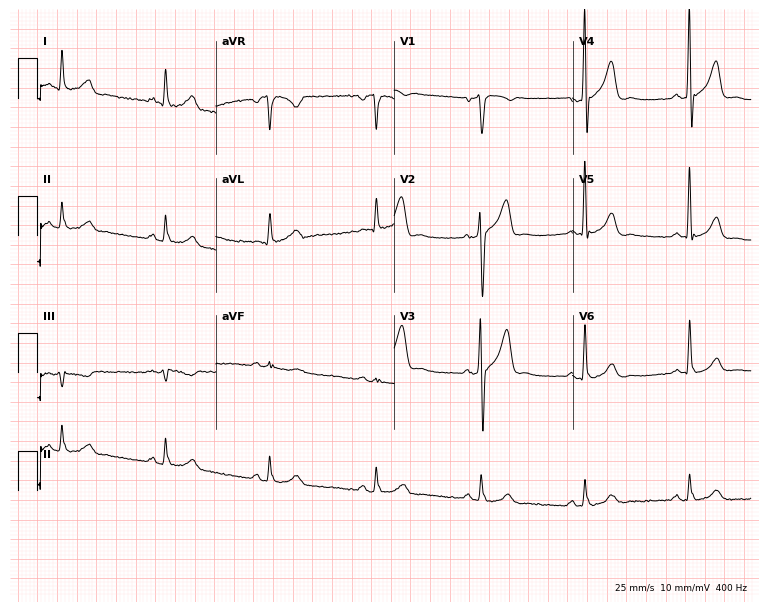
12-lead ECG (7.3-second recording at 400 Hz) from a man, 60 years old. Labelled as a normal ECG.